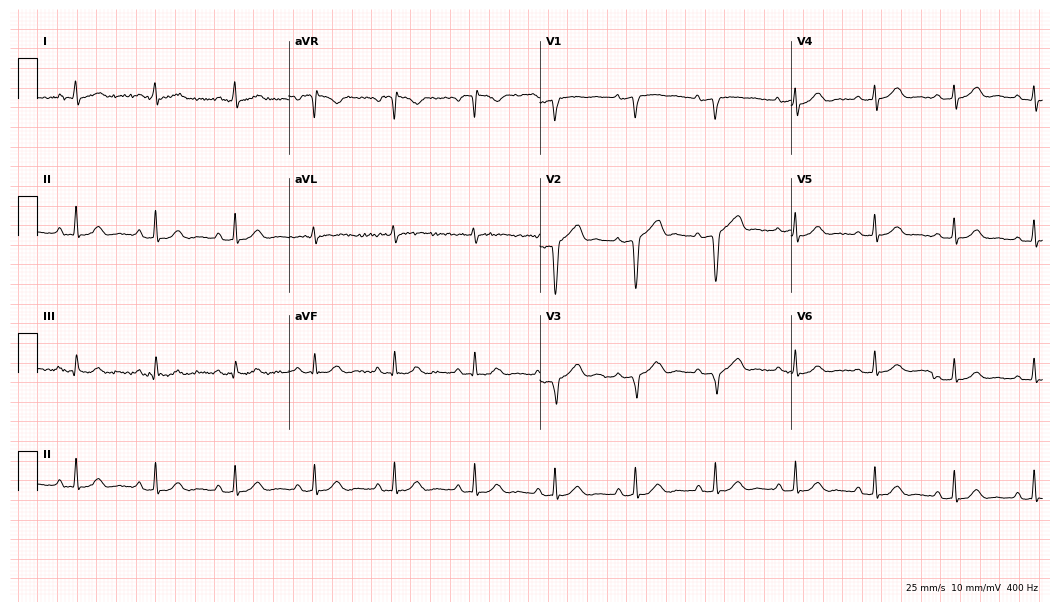
12-lead ECG from a man, 64 years old (10.2-second recording at 400 Hz). No first-degree AV block, right bundle branch block (RBBB), left bundle branch block (LBBB), sinus bradycardia, atrial fibrillation (AF) or sinus tachycardia recorded for this tracing. Findings outside these six are not listed.